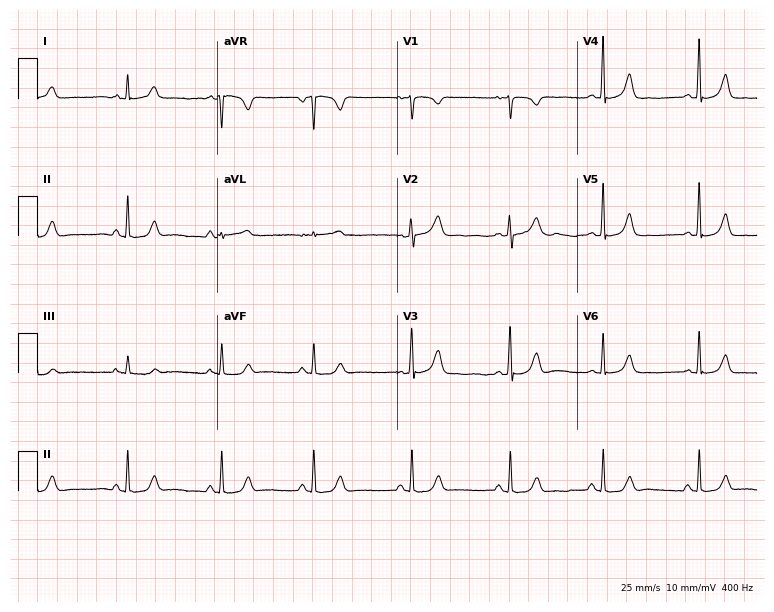
12-lead ECG from a female patient, 26 years old (7.3-second recording at 400 Hz). No first-degree AV block, right bundle branch block (RBBB), left bundle branch block (LBBB), sinus bradycardia, atrial fibrillation (AF) or sinus tachycardia recorded for this tracing.